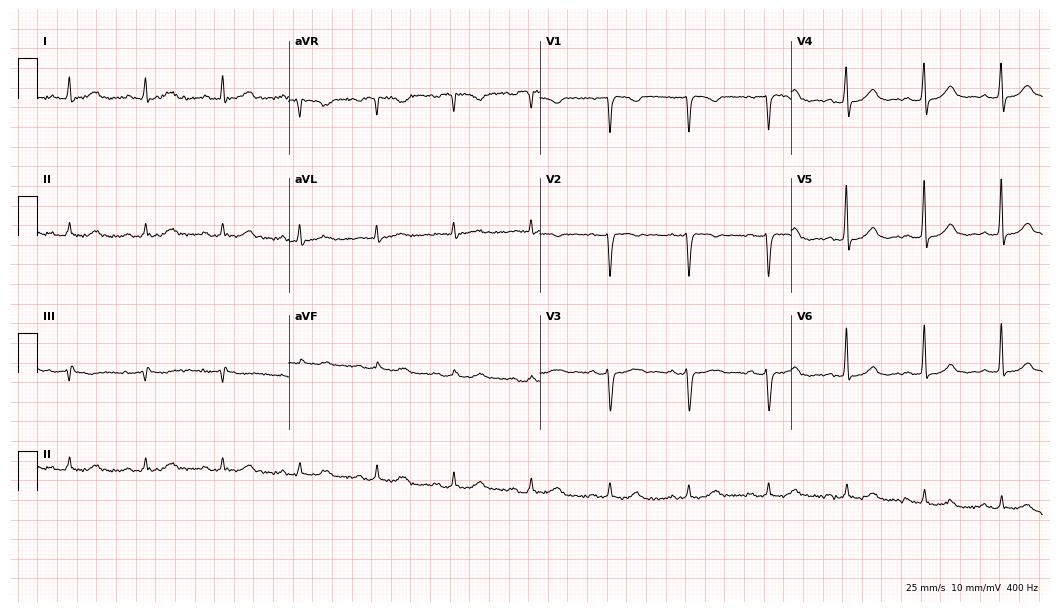
12-lead ECG from a 61-year-old female patient. Recorded interpretation: within normal limits.